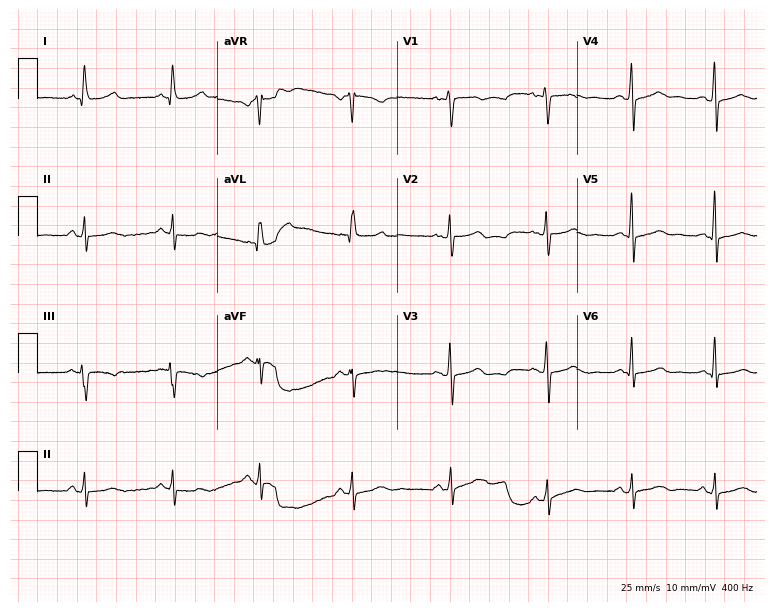
Electrocardiogram, a 51-year-old female patient. Of the six screened findings (first-degree AV block, right bundle branch block (RBBB), left bundle branch block (LBBB), sinus bradycardia, atrial fibrillation (AF), sinus tachycardia), none is recorded. Findings outside these six are not listed.